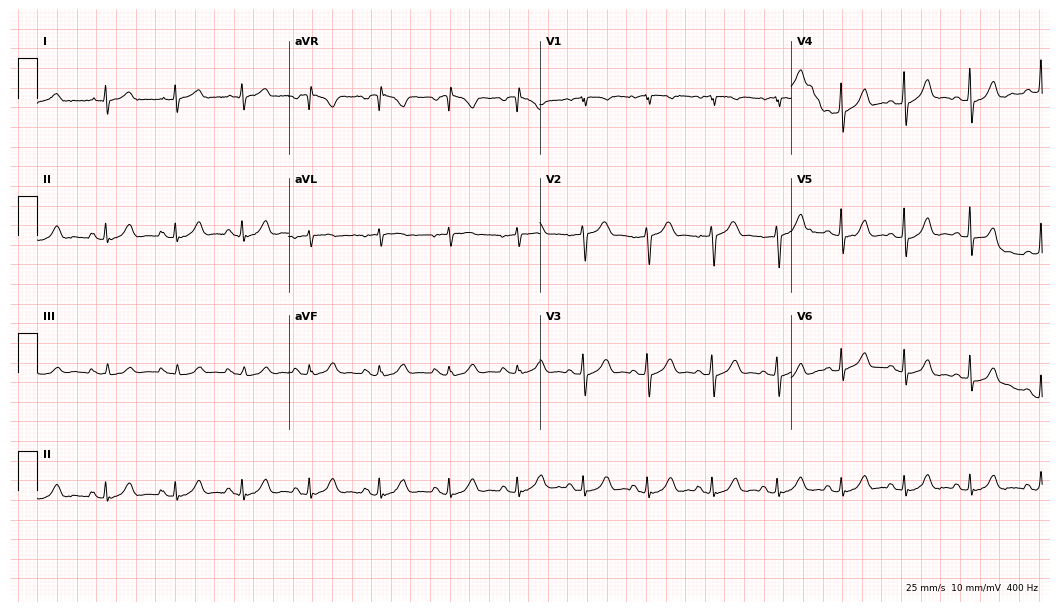
Resting 12-lead electrocardiogram (10.2-second recording at 400 Hz). Patient: a female, 40 years old. Read as a normal ECG.